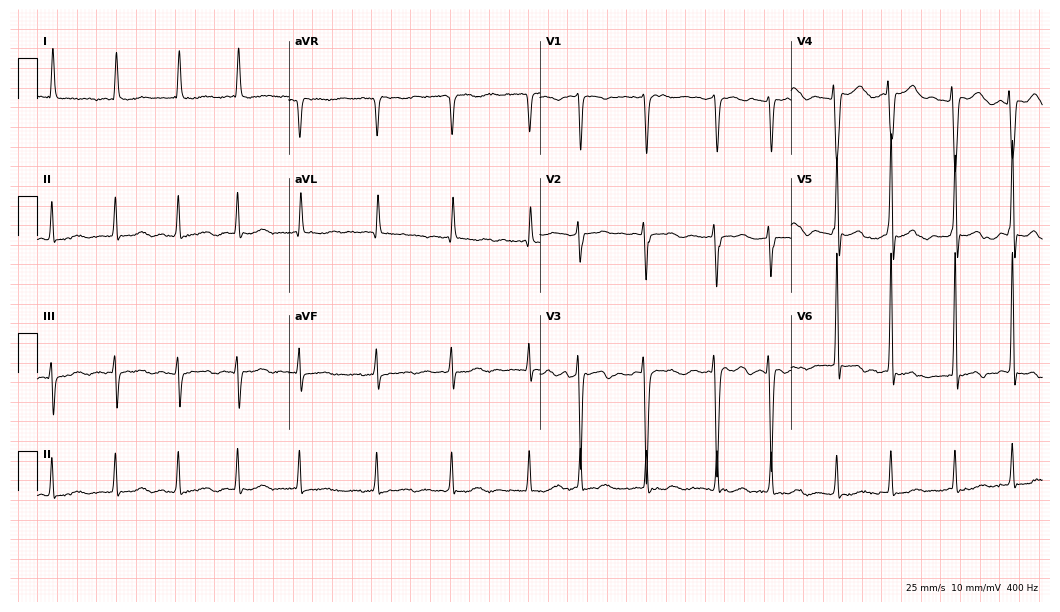
ECG — an 84-year-old male patient. Screened for six findings — first-degree AV block, right bundle branch block, left bundle branch block, sinus bradycardia, atrial fibrillation, sinus tachycardia — none is recorded. Only these six findings were labelled.